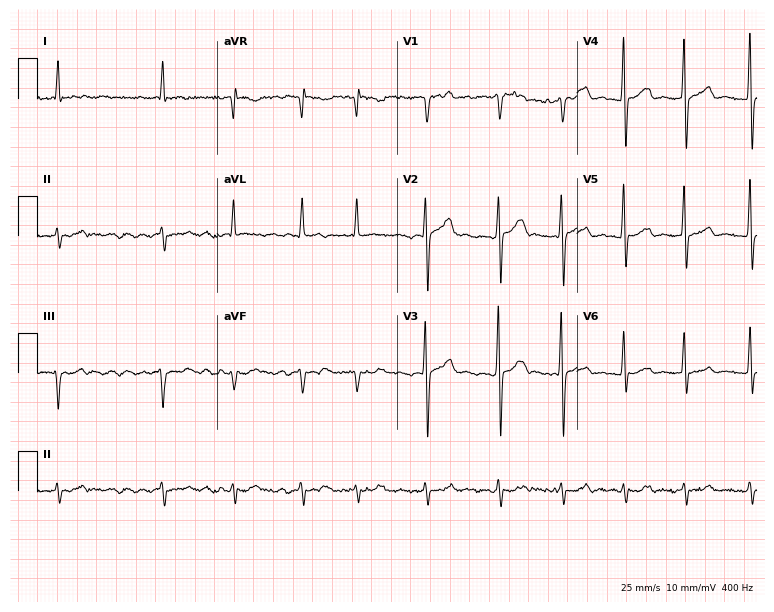
Standard 12-lead ECG recorded from a male patient, 80 years old (7.3-second recording at 400 Hz). The tracing shows atrial fibrillation.